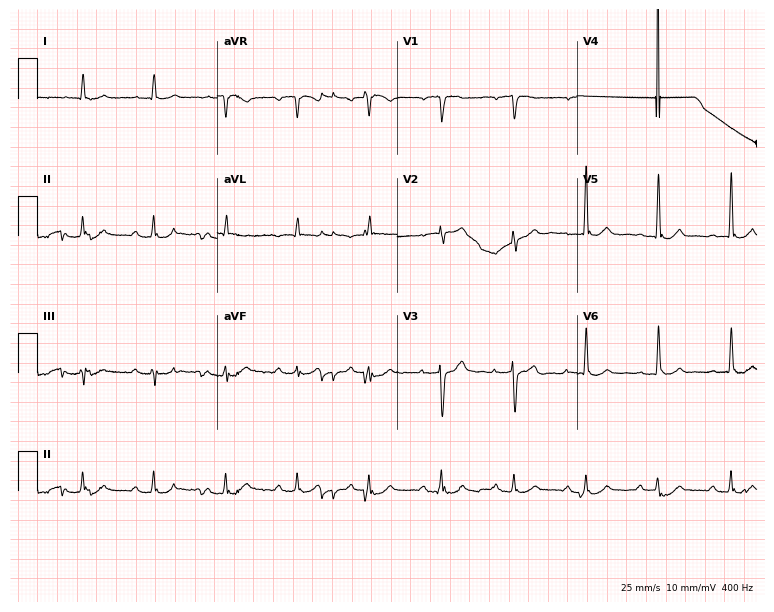
Standard 12-lead ECG recorded from a female, 79 years old (7.3-second recording at 400 Hz). None of these six findings is recorded: first-degree AV block, right bundle branch block (RBBB), left bundle branch block (LBBB), sinus bradycardia, atrial fibrillation (AF), sinus tachycardia. Other findings, if any, are not listed.